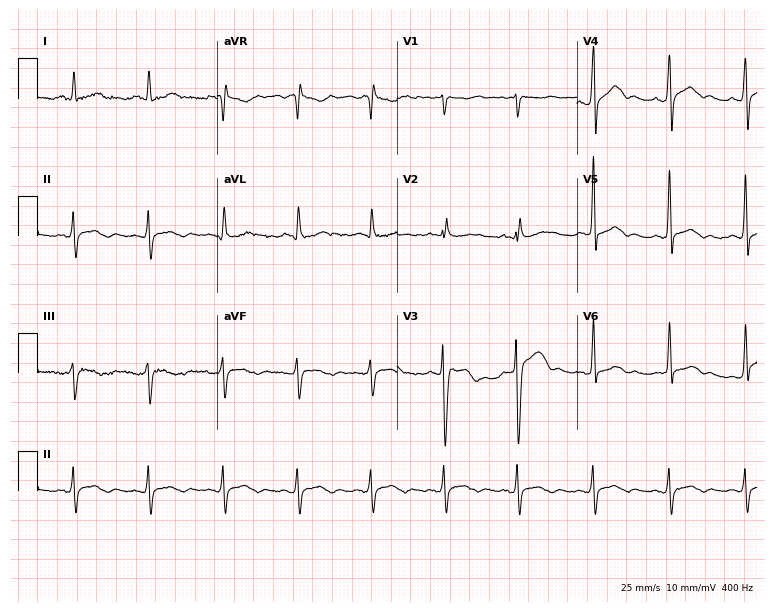
Electrocardiogram (7.3-second recording at 400 Hz), a 34-year-old male. Of the six screened findings (first-degree AV block, right bundle branch block, left bundle branch block, sinus bradycardia, atrial fibrillation, sinus tachycardia), none is recorded.